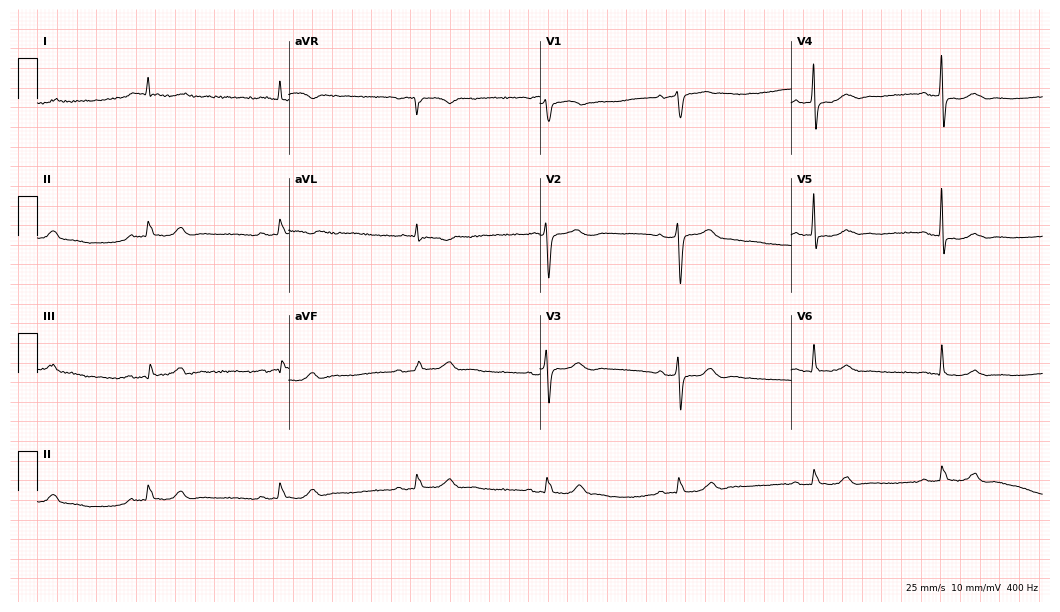
Resting 12-lead electrocardiogram (10.2-second recording at 400 Hz). Patient: a female, 75 years old. The tracing shows sinus bradycardia (a sinus rate of 50 beats per minute or less).